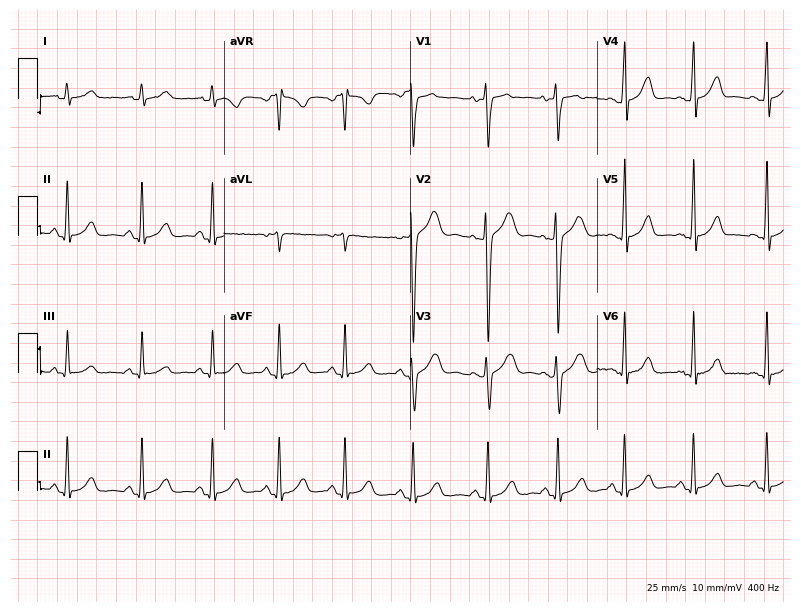
Resting 12-lead electrocardiogram. Patient: a 19-year-old woman. None of these six findings is recorded: first-degree AV block, right bundle branch block, left bundle branch block, sinus bradycardia, atrial fibrillation, sinus tachycardia.